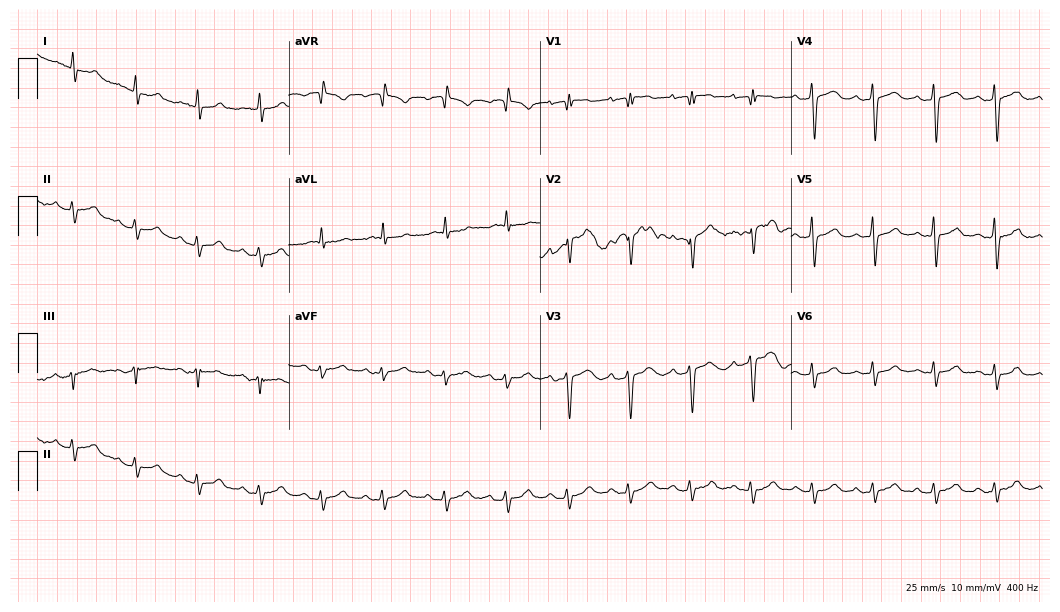
Resting 12-lead electrocardiogram (10.2-second recording at 400 Hz). Patient: an 83-year-old man. None of these six findings is recorded: first-degree AV block, right bundle branch block, left bundle branch block, sinus bradycardia, atrial fibrillation, sinus tachycardia.